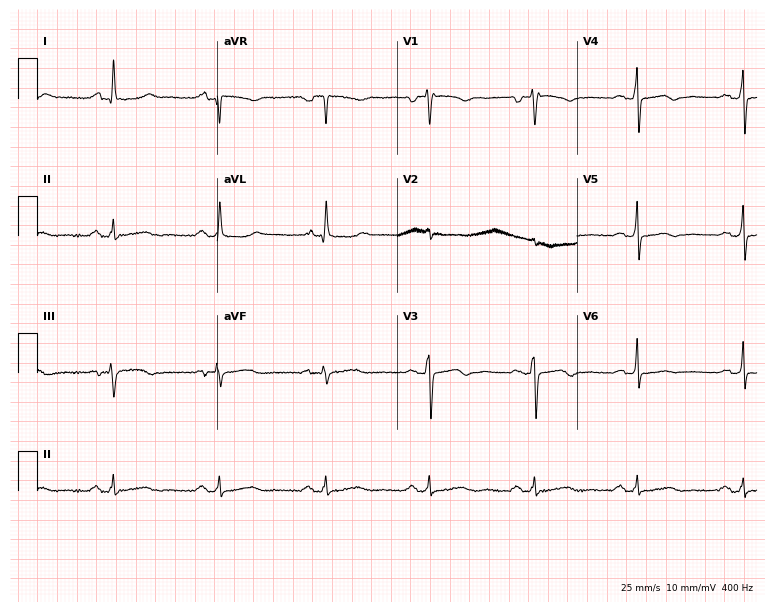
12-lead ECG (7.3-second recording at 400 Hz) from a female patient, 58 years old. Screened for six findings — first-degree AV block, right bundle branch block (RBBB), left bundle branch block (LBBB), sinus bradycardia, atrial fibrillation (AF), sinus tachycardia — none is recorded.